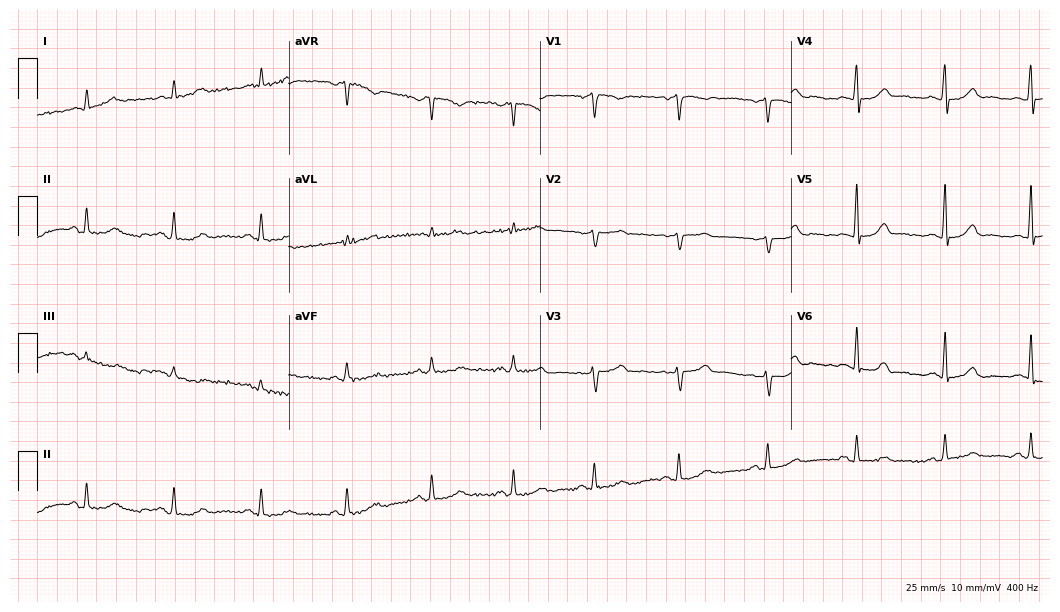
Electrocardiogram, a 47-year-old female patient. Of the six screened findings (first-degree AV block, right bundle branch block, left bundle branch block, sinus bradycardia, atrial fibrillation, sinus tachycardia), none is recorded.